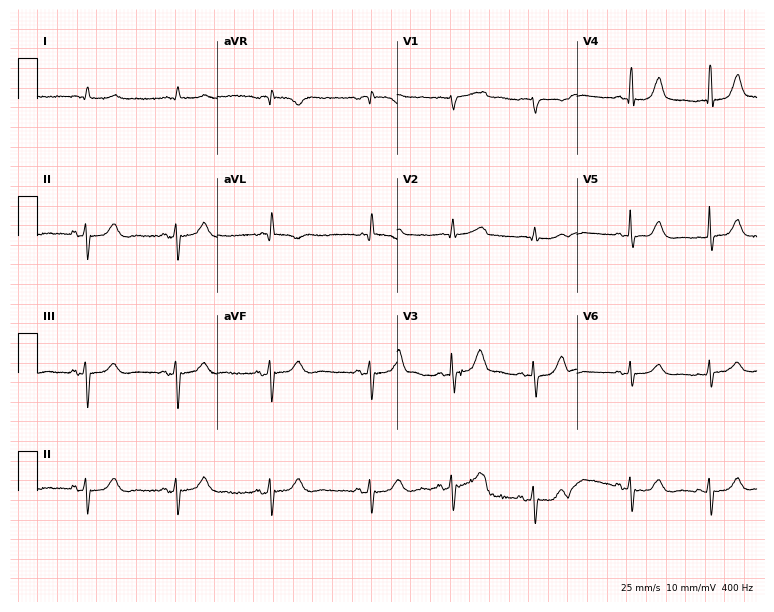
12-lead ECG from a 74-year-old male patient. No first-degree AV block, right bundle branch block, left bundle branch block, sinus bradycardia, atrial fibrillation or sinus tachycardia recorded for this tracing.